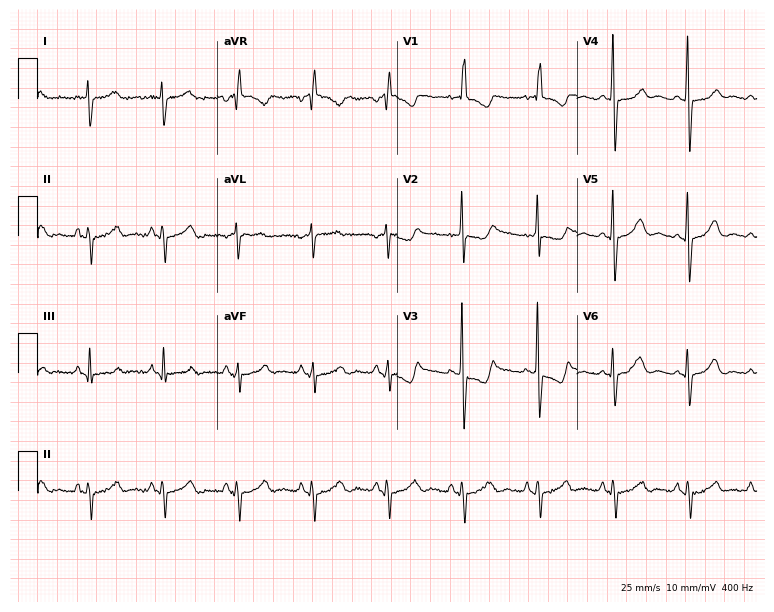
ECG (7.3-second recording at 400 Hz) — a 31-year-old female patient. Screened for six findings — first-degree AV block, right bundle branch block (RBBB), left bundle branch block (LBBB), sinus bradycardia, atrial fibrillation (AF), sinus tachycardia — none is recorded. Other findings, if any, are not listed.